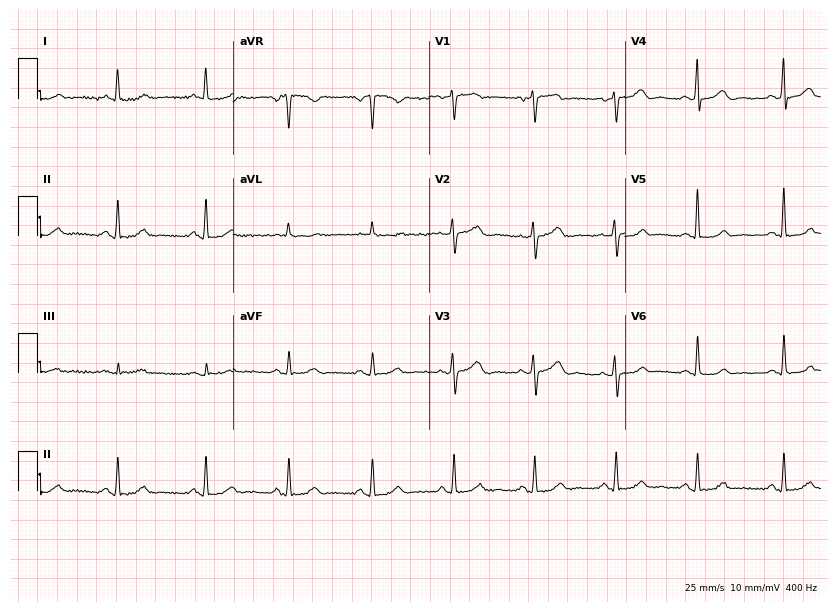
ECG — a female, 51 years old. Screened for six findings — first-degree AV block, right bundle branch block (RBBB), left bundle branch block (LBBB), sinus bradycardia, atrial fibrillation (AF), sinus tachycardia — none is recorded. Only these six findings were labelled.